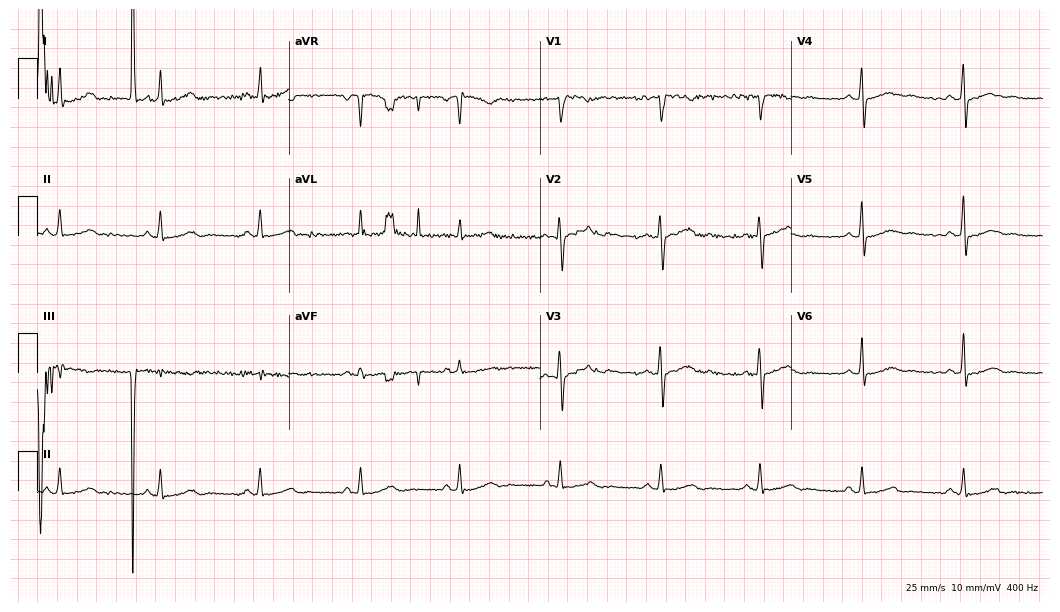
Electrocardiogram (10.2-second recording at 400 Hz), a female, 32 years old. Of the six screened findings (first-degree AV block, right bundle branch block, left bundle branch block, sinus bradycardia, atrial fibrillation, sinus tachycardia), none is recorded.